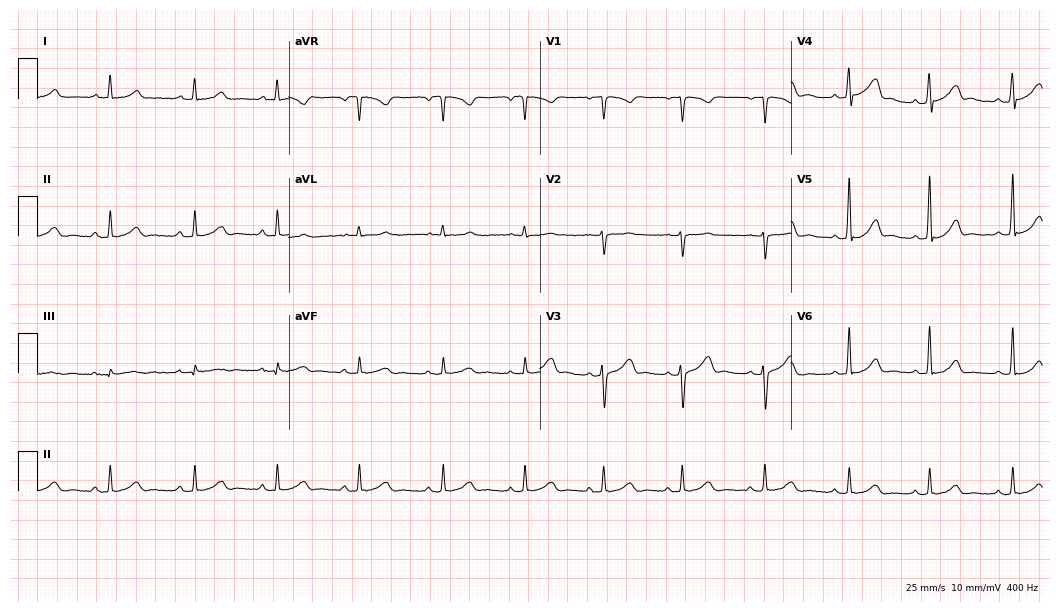
Resting 12-lead electrocardiogram (10.2-second recording at 400 Hz). Patient: a 31-year-old female. Read as a normal ECG.